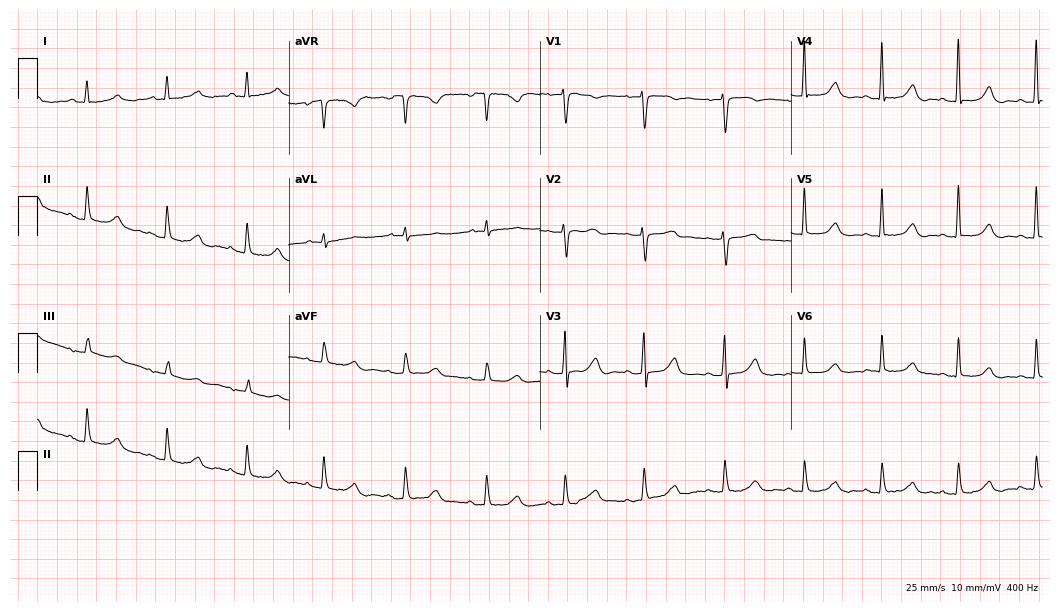
Standard 12-lead ECG recorded from a 73-year-old woman (10.2-second recording at 400 Hz). None of these six findings is recorded: first-degree AV block, right bundle branch block (RBBB), left bundle branch block (LBBB), sinus bradycardia, atrial fibrillation (AF), sinus tachycardia.